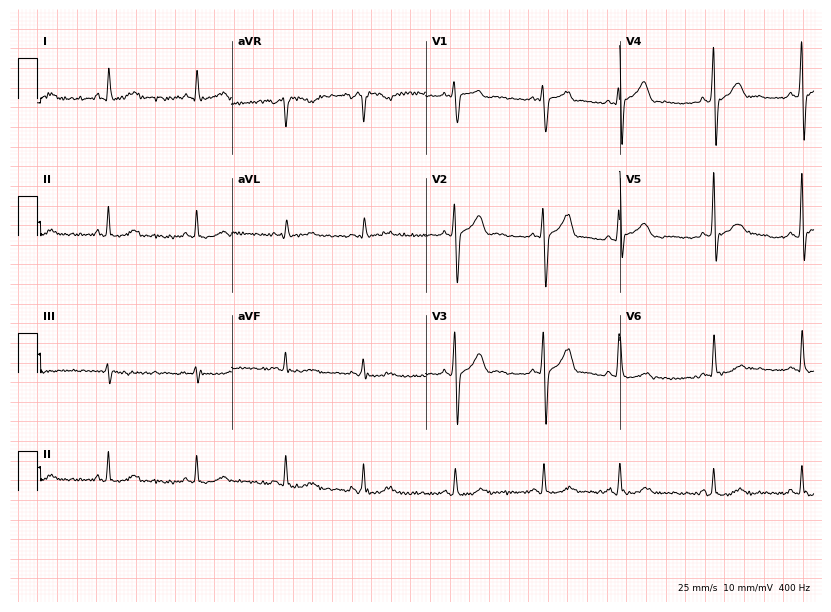
ECG — a male patient, 56 years old. Labelled as a normal ECG.